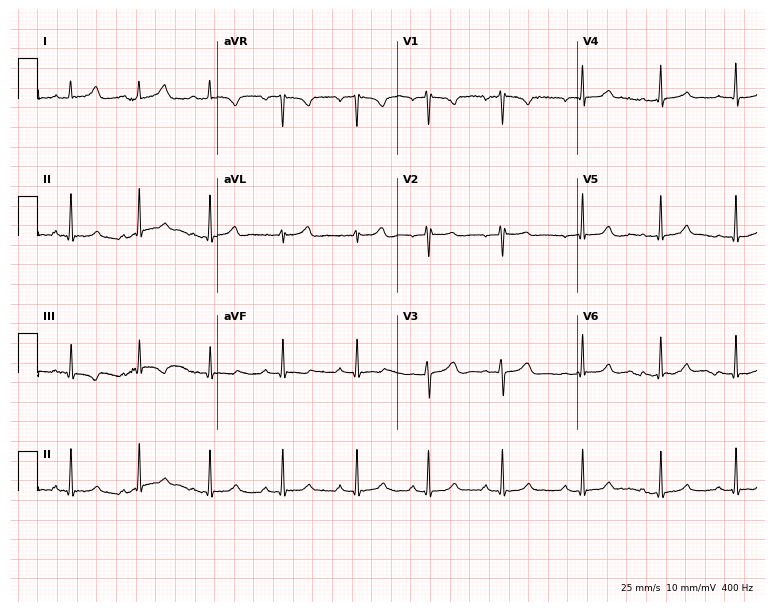
Resting 12-lead electrocardiogram (7.3-second recording at 400 Hz). Patient: a woman, 27 years old. Read as a normal ECG.